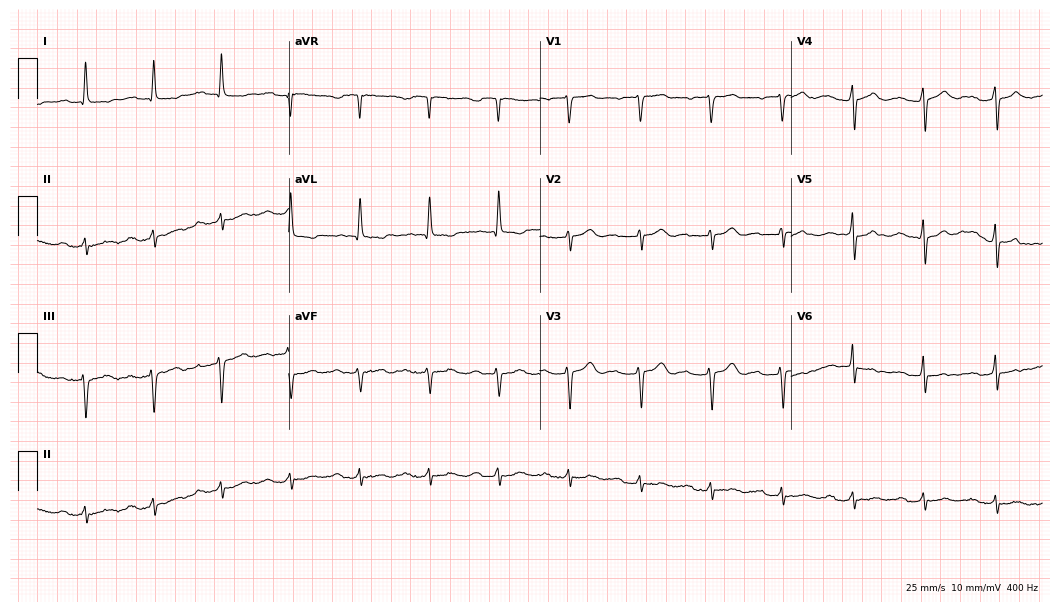
Resting 12-lead electrocardiogram (10.2-second recording at 400 Hz). Patient: a male, 76 years old. None of these six findings is recorded: first-degree AV block, right bundle branch block, left bundle branch block, sinus bradycardia, atrial fibrillation, sinus tachycardia.